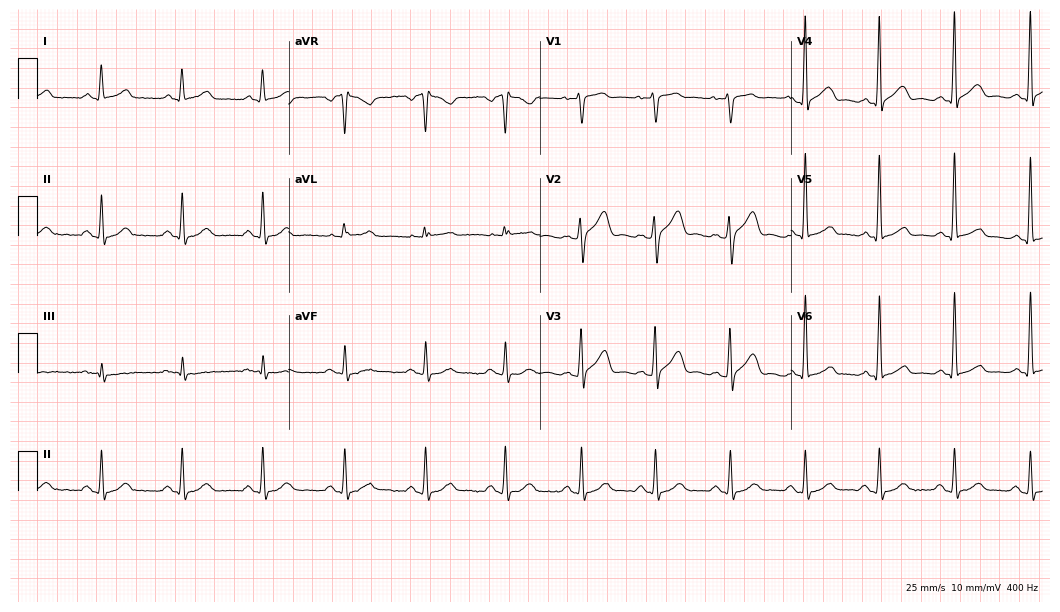
ECG — a male patient, 56 years old. Screened for six findings — first-degree AV block, right bundle branch block, left bundle branch block, sinus bradycardia, atrial fibrillation, sinus tachycardia — none is recorded.